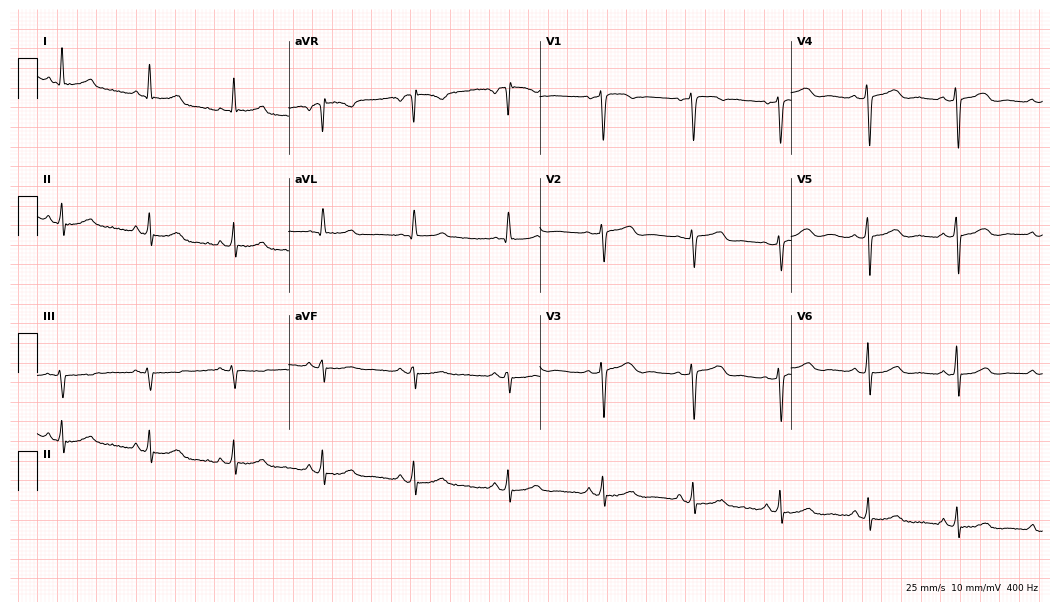
Resting 12-lead electrocardiogram. Patient: a woman, 65 years old. Read as a normal ECG.